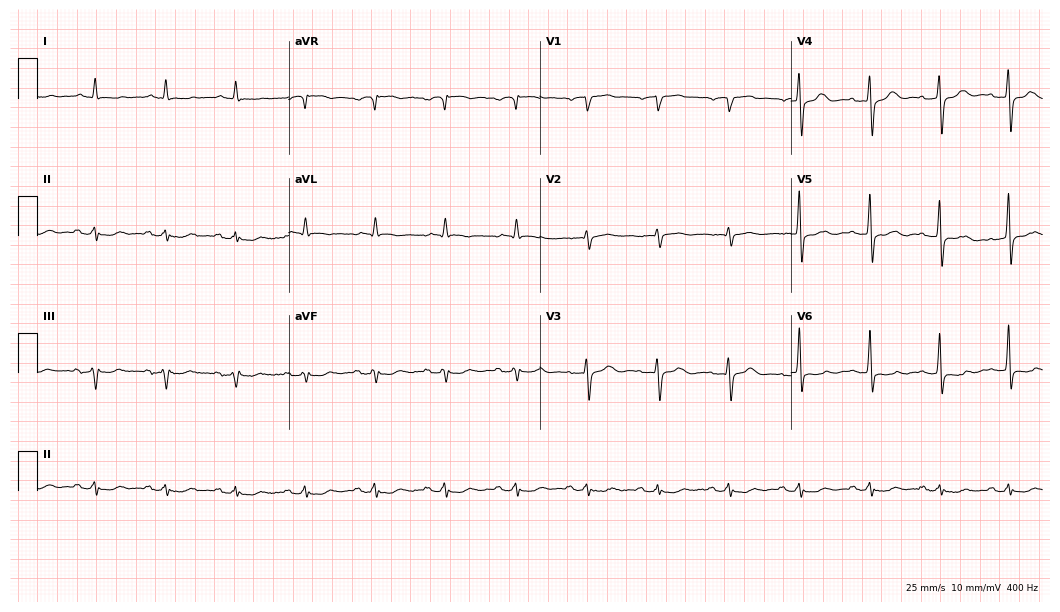
Standard 12-lead ECG recorded from a male, 72 years old (10.2-second recording at 400 Hz). None of these six findings is recorded: first-degree AV block, right bundle branch block, left bundle branch block, sinus bradycardia, atrial fibrillation, sinus tachycardia. Findings outside these six are not listed.